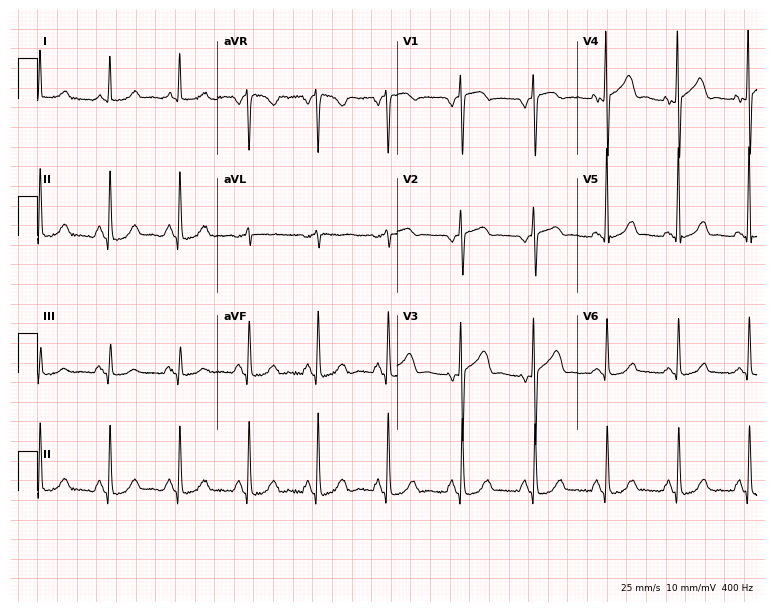
Standard 12-lead ECG recorded from a woman, 65 years old (7.3-second recording at 400 Hz). None of these six findings is recorded: first-degree AV block, right bundle branch block, left bundle branch block, sinus bradycardia, atrial fibrillation, sinus tachycardia.